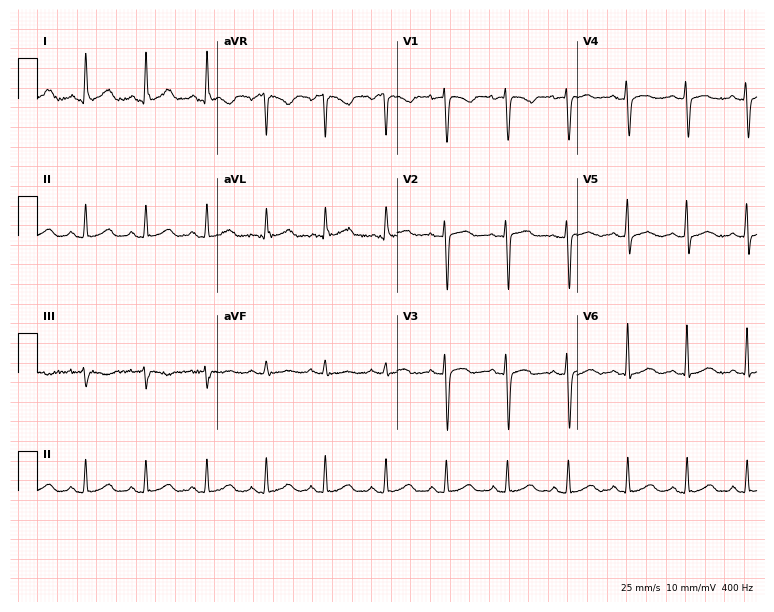
12-lead ECG from a 45-year-old female patient. No first-degree AV block, right bundle branch block (RBBB), left bundle branch block (LBBB), sinus bradycardia, atrial fibrillation (AF) or sinus tachycardia recorded for this tracing. Other findings, if any, are not listed.